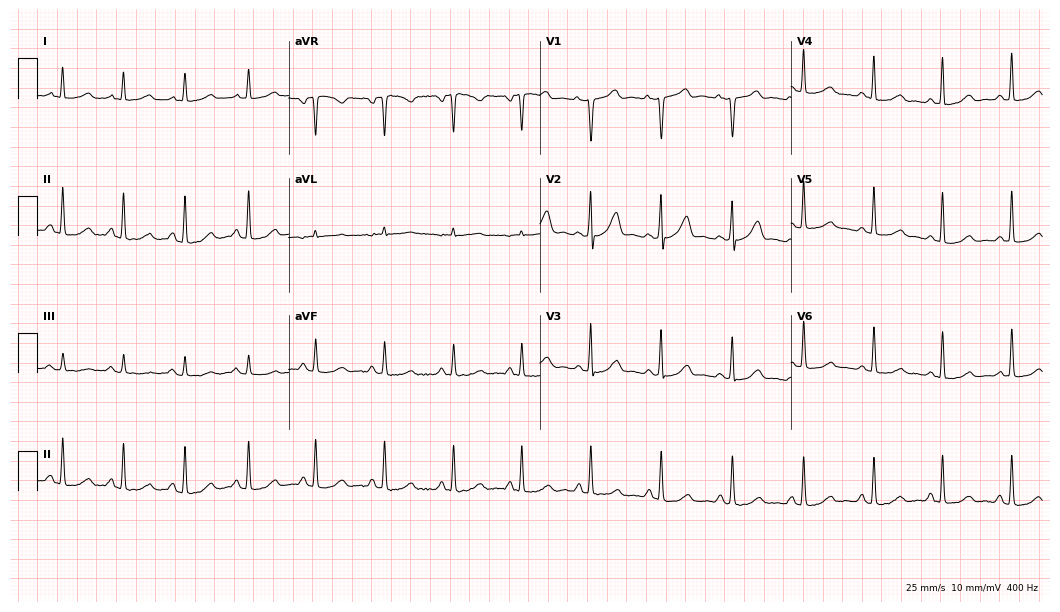
ECG — a 40-year-old woman. Labelled as a normal ECG.